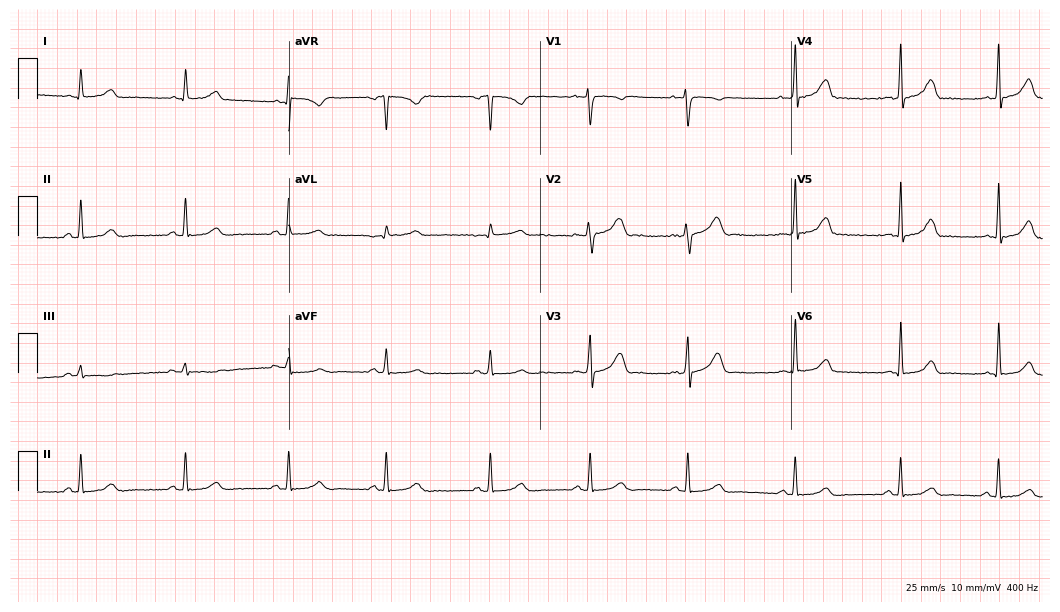
Resting 12-lead electrocardiogram (10.2-second recording at 400 Hz). Patient: a woman, 33 years old. Read as a normal ECG.